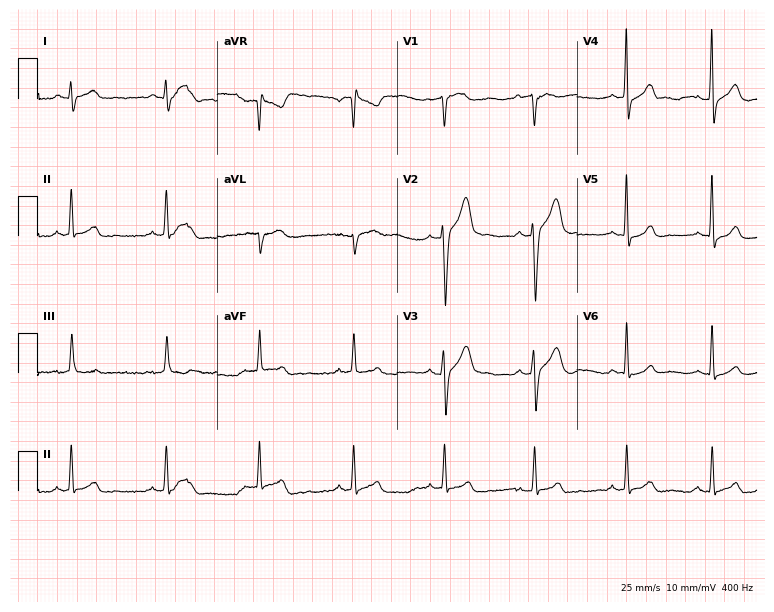
12-lead ECG from a woman, 31 years old (7.3-second recording at 400 Hz). Recorded interpretation: within normal limits.